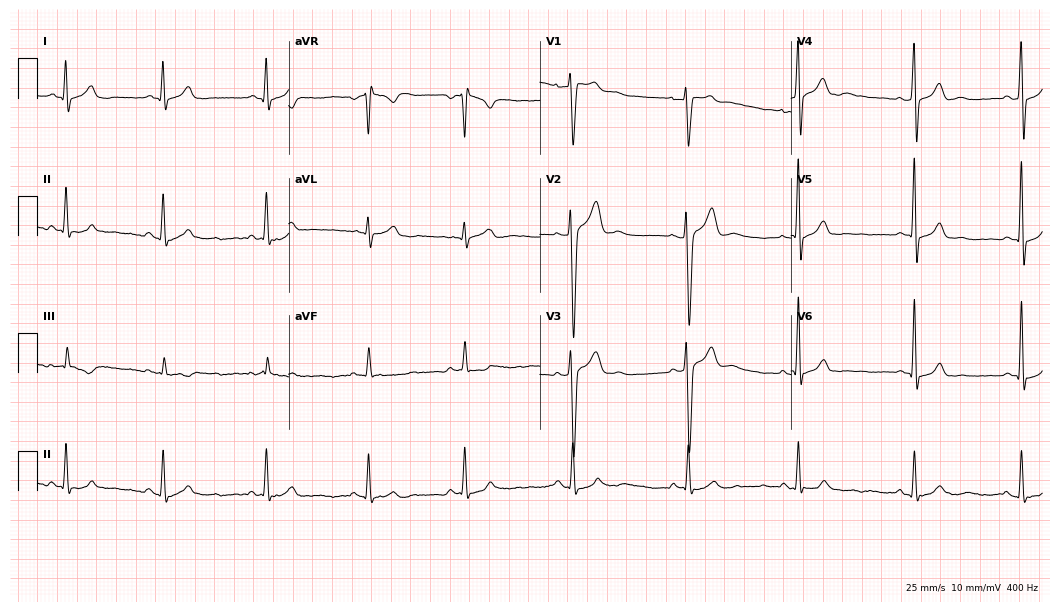
12-lead ECG (10.2-second recording at 400 Hz) from a 26-year-old male. Labelled as a normal ECG.